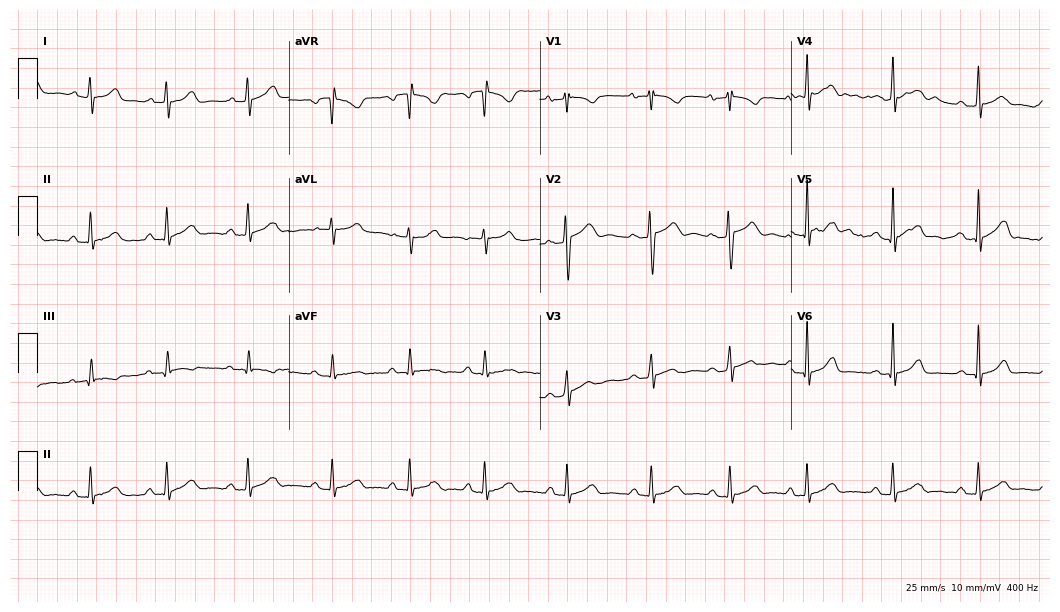
ECG (10.2-second recording at 400 Hz) — a woman, 28 years old. Labelled as a normal ECG.